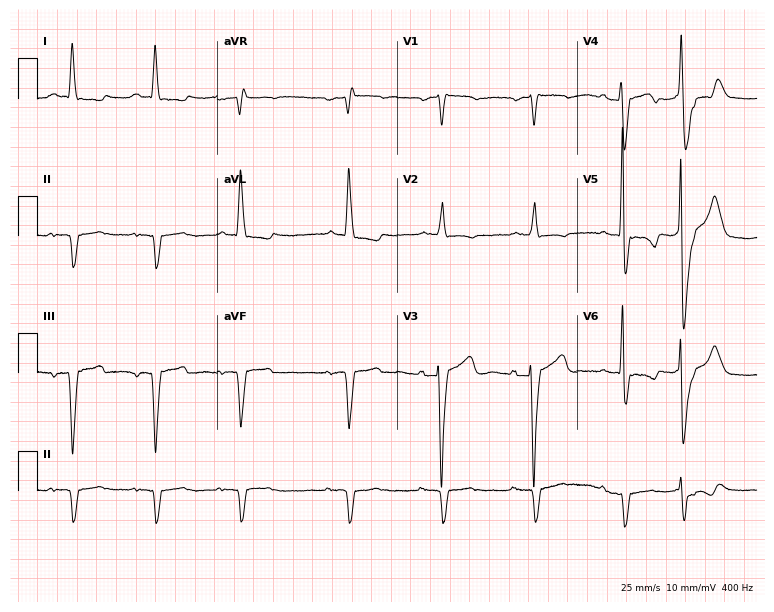
Resting 12-lead electrocardiogram (7.3-second recording at 400 Hz). Patient: a man, 76 years old. None of these six findings is recorded: first-degree AV block, right bundle branch block, left bundle branch block, sinus bradycardia, atrial fibrillation, sinus tachycardia. Findings outside these six are not listed.